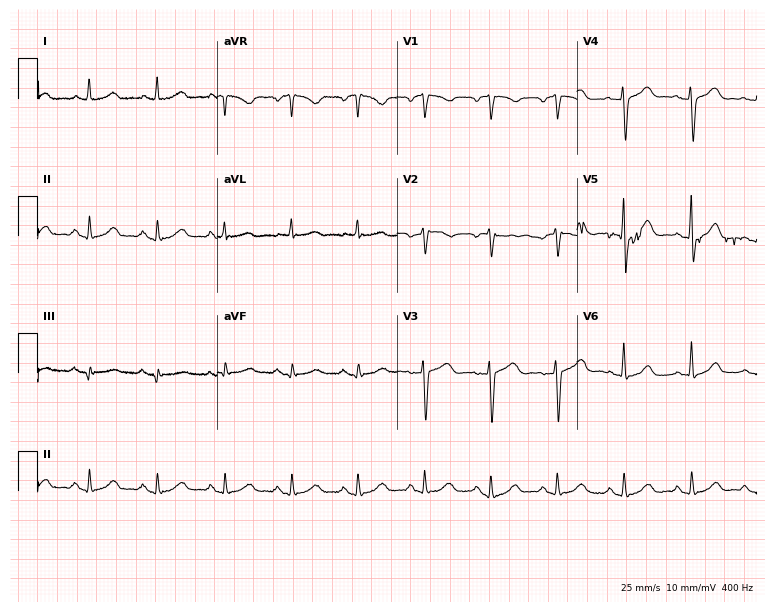
Standard 12-lead ECG recorded from a 74-year-old female patient. Read as a normal ECG.